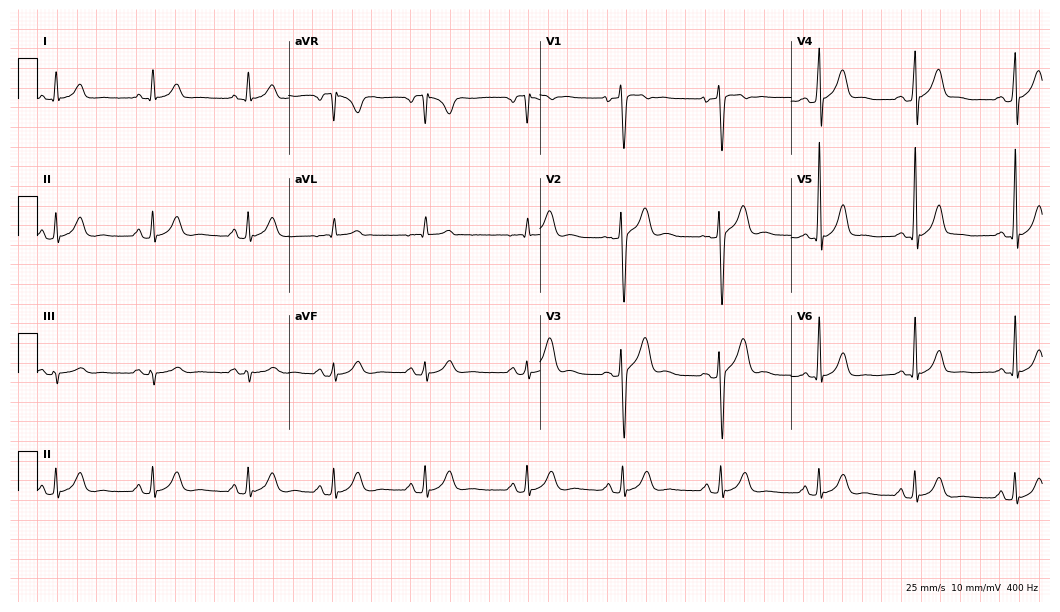
12-lead ECG from a 20-year-old male (10.2-second recording at 400 Hz). Recorded interpretation: within normal limits.